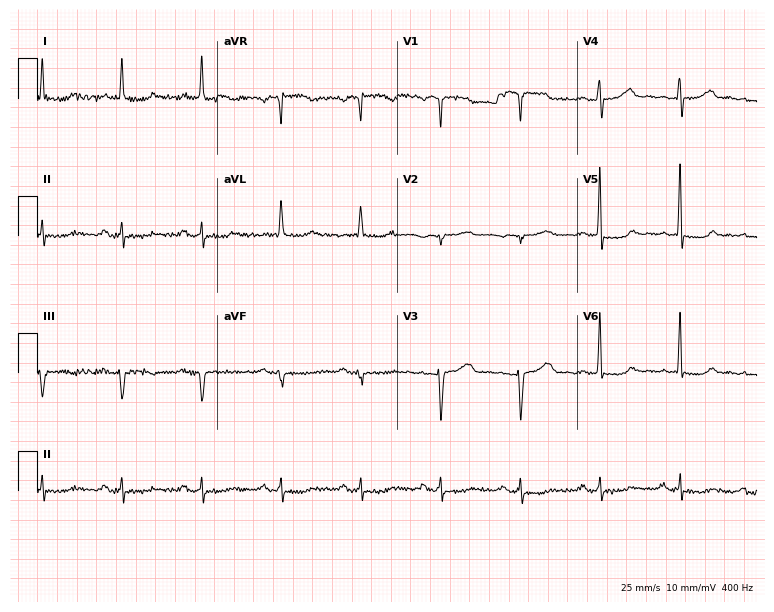
ECG (7.3-second recording at 400 Hz) — a female, 77 years old. Screened for six findings — first-degree AV block, right bundle branch block, left bundle branch block, sinus bradycardia, atrial fibrillation, sinus tachycardia — none is recorded.